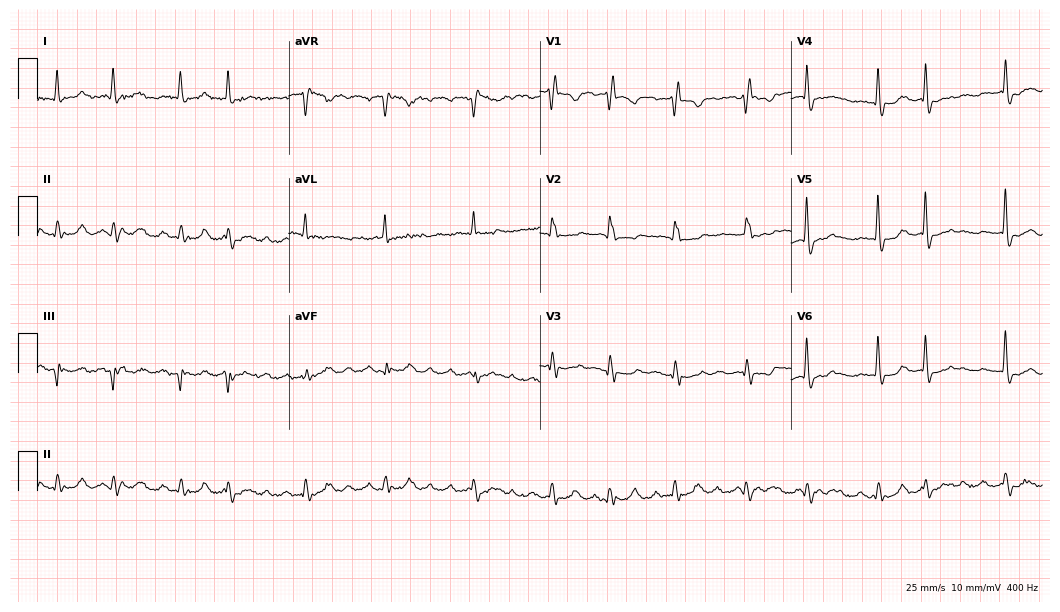
12-lead ECG from a male patient, 81 years old (10.2-second recording at 400 Hz). No first-degree AV block, right bundle branch block, left bundle branch block, sinus bradycardia, atrial fibrillation or sinus tachycardia recorded for this tracing.